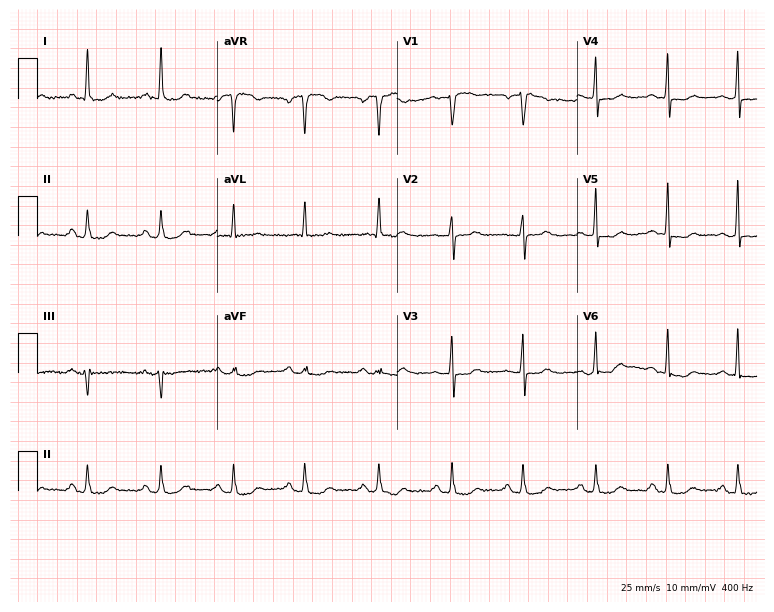
12-lead ECG (7.3-second recording at 400 Hz) from a woman, 69 years old. Screened for six findings — first-degree AV block, right bundle branch block, left bundle branch block, sinus bradycardia, atrial fibrillation, sinus tachycardia — none is recorded.